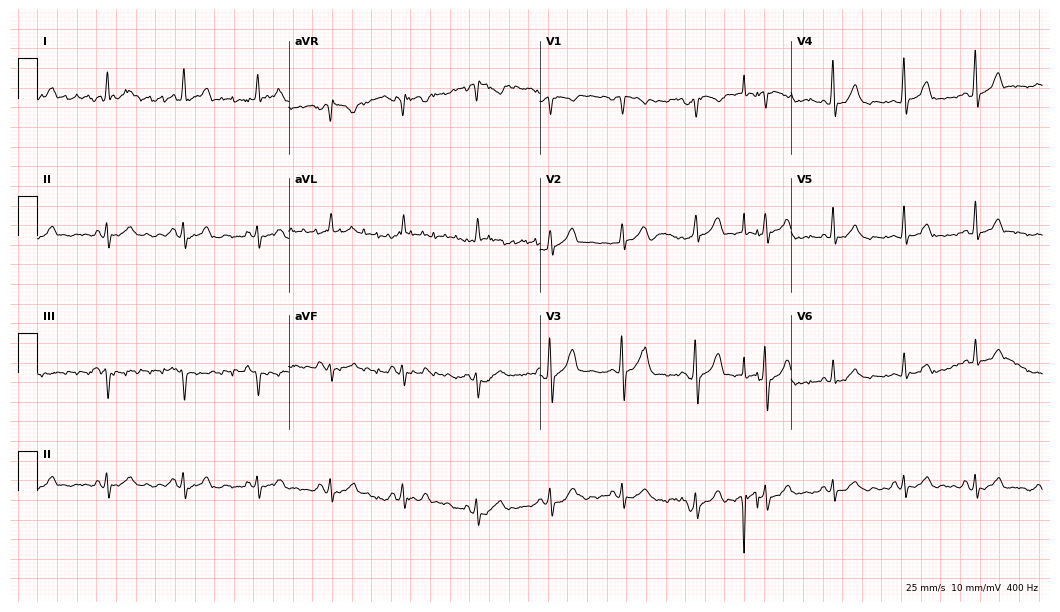
Resting 12-lead electrocardiogram. Patient: a 40-year-old woman. None of these six findings is recorded: first-degree AV block, right bundle branch block, left bundle branch block, sinus bradycardia, atrial fibrillation, sinus tachycardia. Other findings, if any, are not listed.